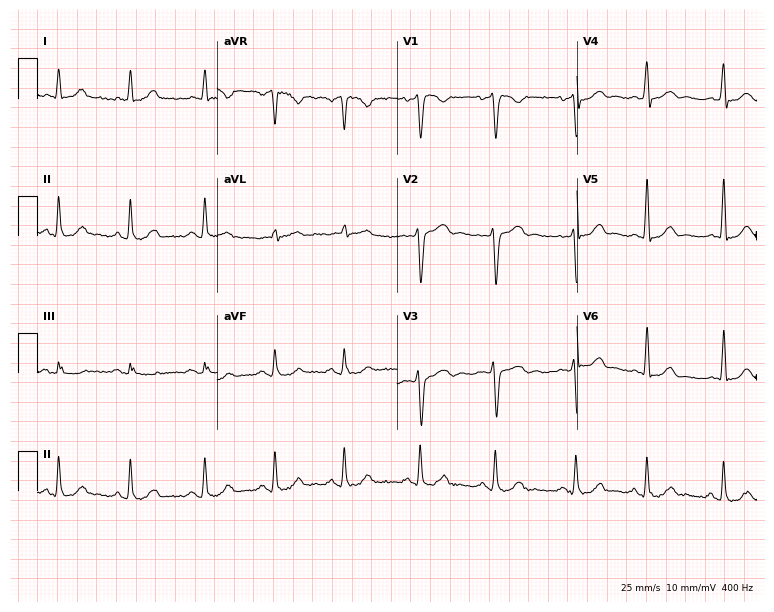
12-lead ECG from a 45-year-old male patient. Screened for six findings — first-degree AV block, right bundle branch block, left bundle branch block, sinus bradycardia, atrial fibrillation, sinus tachycardia — none is recorded. Other findings, if any, are not listed.